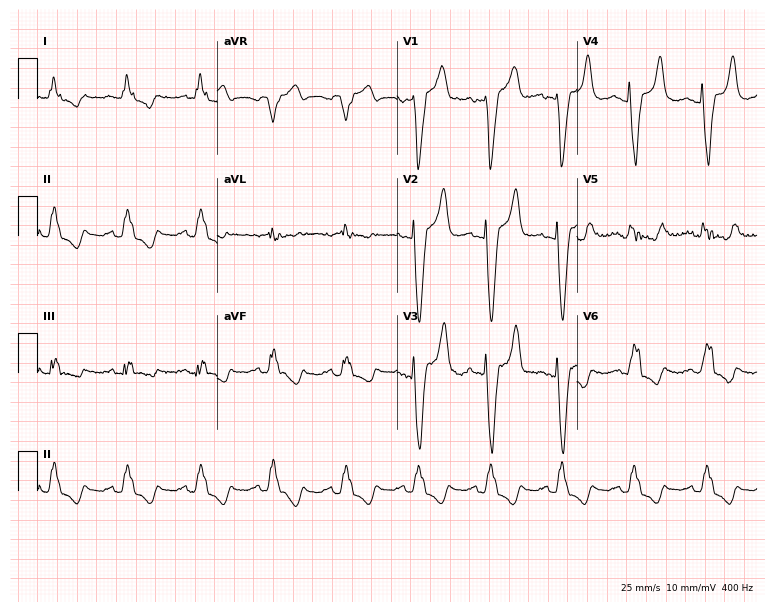
Electrocardiogram, a 71-year-old woman. Interpretation includes left bundle branch block.